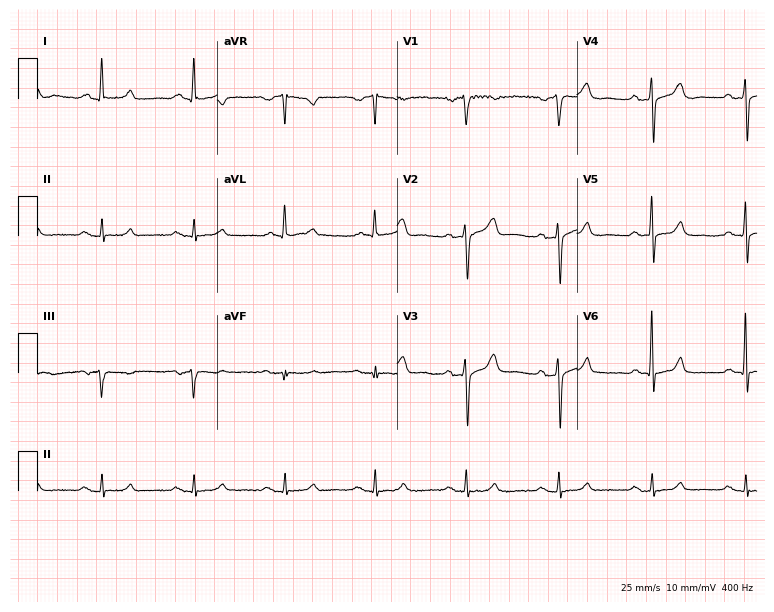
Resting 12-lead electrocardiogram. Patient: a man, 72 years old. Read as a normal ECG.